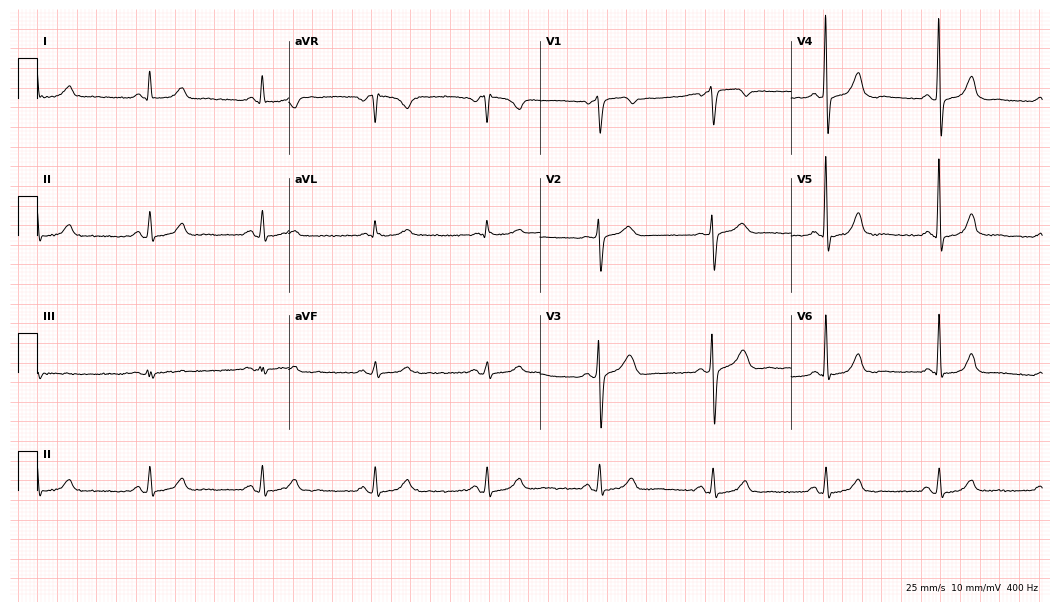
Standard 12-lead ECG recorded from a 65-year-old male. Read as a normal ECG.